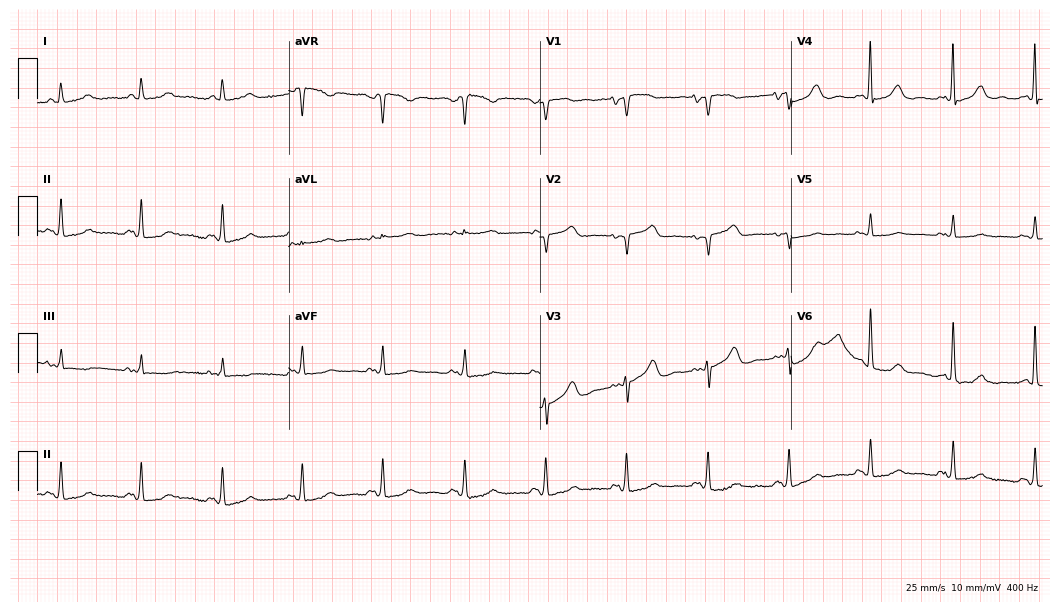
Electrocardiogram (10.2-second recording at 400 Hz), a female, 74 years old. Of the six screened findings (first-degree AV block, right bundle branch block, left bundle branch block, sinus bradycardia, atrial fibrillation, sinus tachycardia), none is recorded. Only these six findings were labelled.